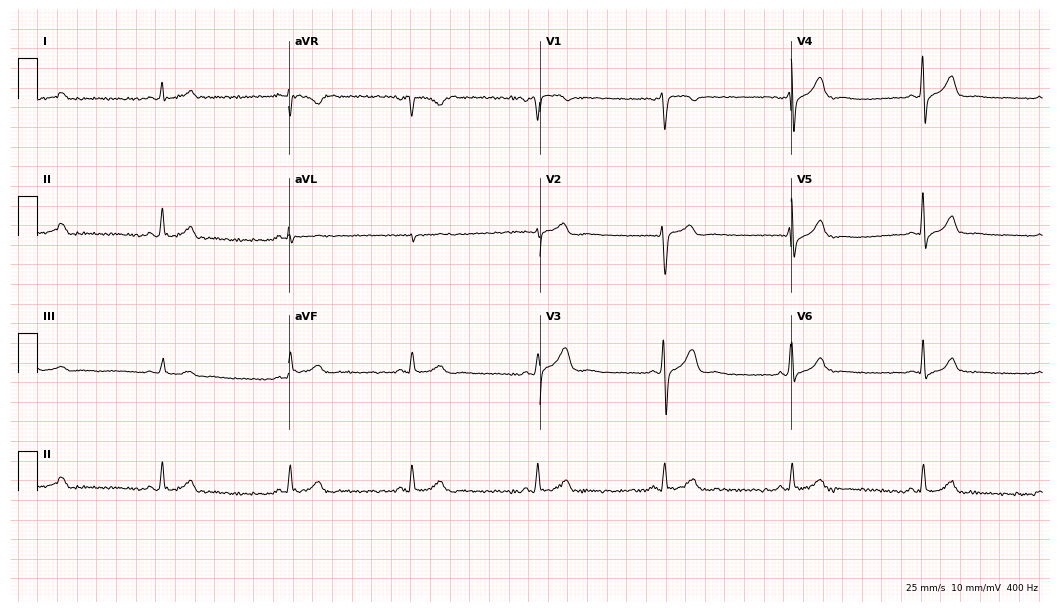
Standard 12-lead ECG recorded from a 43-year-old man. None of these six findings is recorded: first-degree AV block, right bundle branch block, left bundle branch block, sinus bradycardia, atrial fibrillation, sinus tachycardia. Only these six findings were labelled.